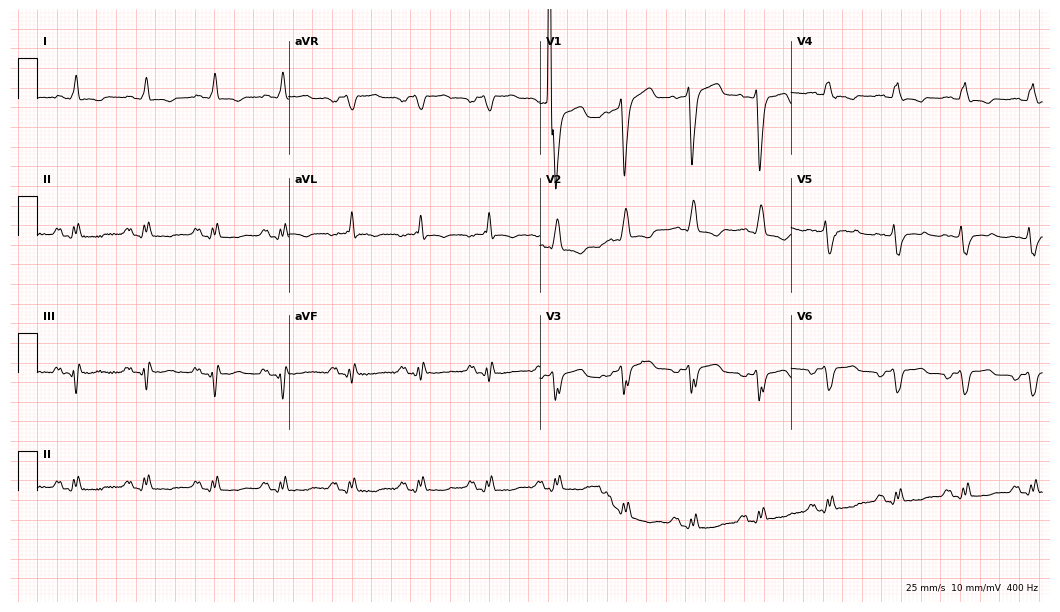
ECG — a male patient, 65 years old. Findings include right bundle branch block.